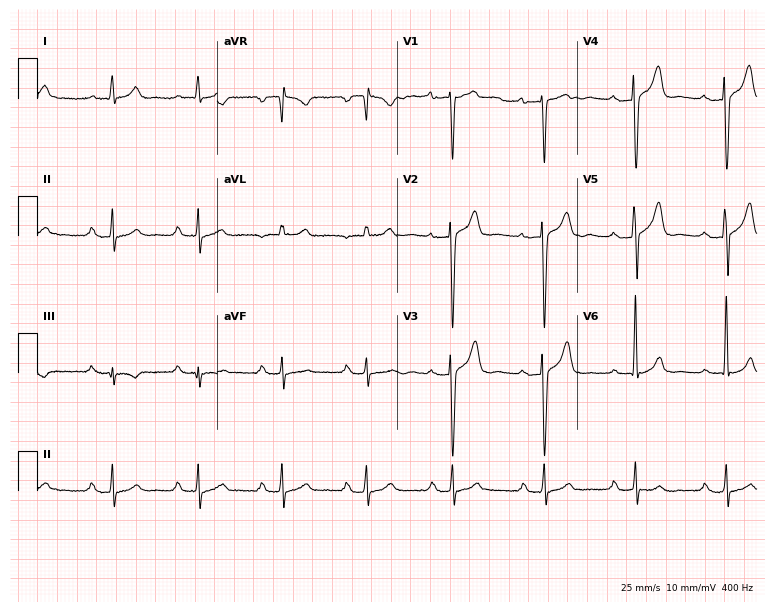
Standard 12-lead ECG recorded from a 30-year-old man (7.3-second recording at 400 Hz). The tracing shows first-degree AV block.